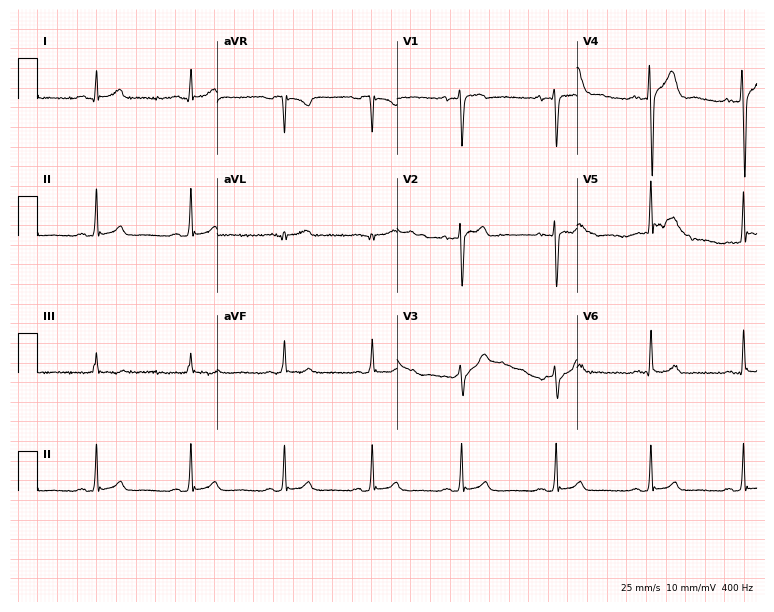
Standard 12-lead ECG recorded from a man, 19 years old (7.3-second recording at 400 Hz). Read as a normal ECG.